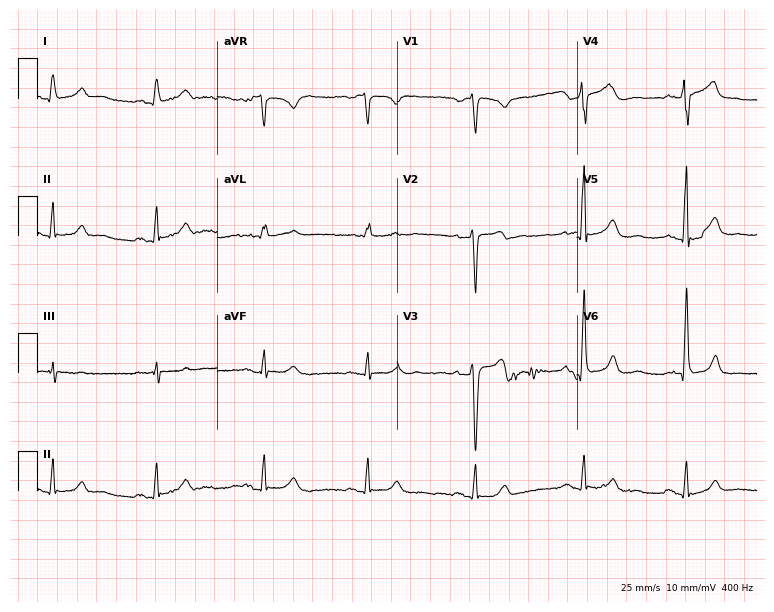
12-lead ECG from a male, 45 years old (7.3-second recording at 400 Hz). Recorded interpretation: within normal limits.